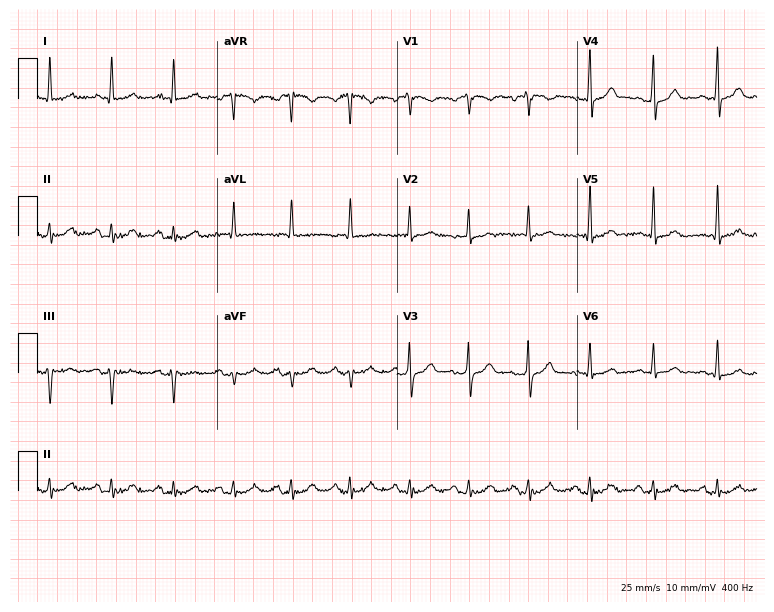
12-lead ECG (7.3-second recording at 400 Hz) from a male, 76 years old. Screened for six findings — first-degree AV block, right bundle branch block (RBBB), left bundle branch block (LBBB), sinus bradycardia, atrial fibrillation (AF), sinus tachycardia — none is recorded.